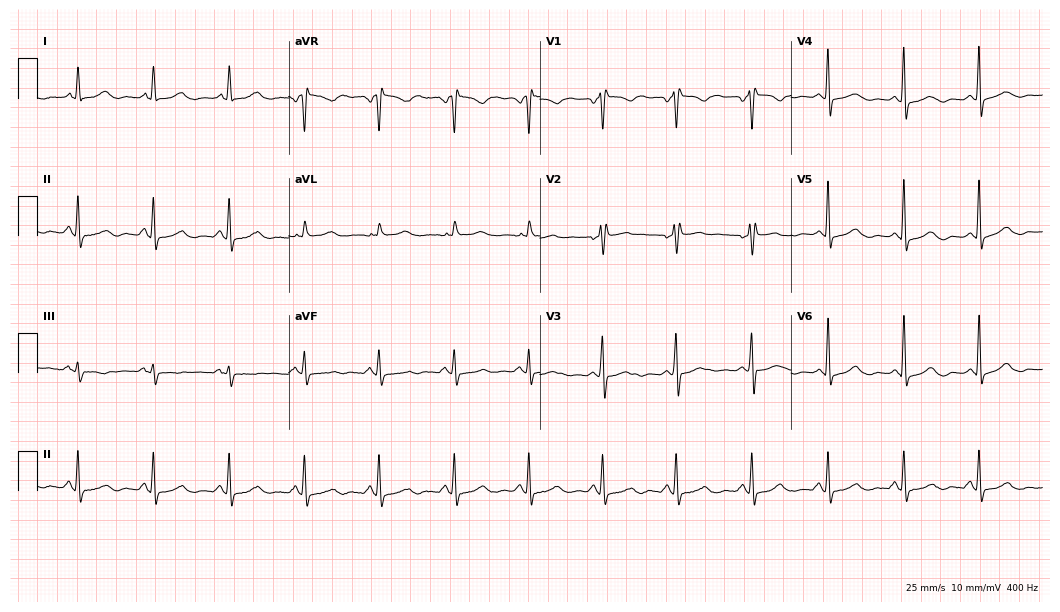
Standard 12-lead ECG recorded from a 51-year-old woman (10.2-second recording at 400 Hz). None of these six findings is recorded: first-degree AV block, right bundle branch block (RBBB), left bundle branch block (LBBB), sinus bradycardia, atrial fibrillation (AF), sinus tachycardia.